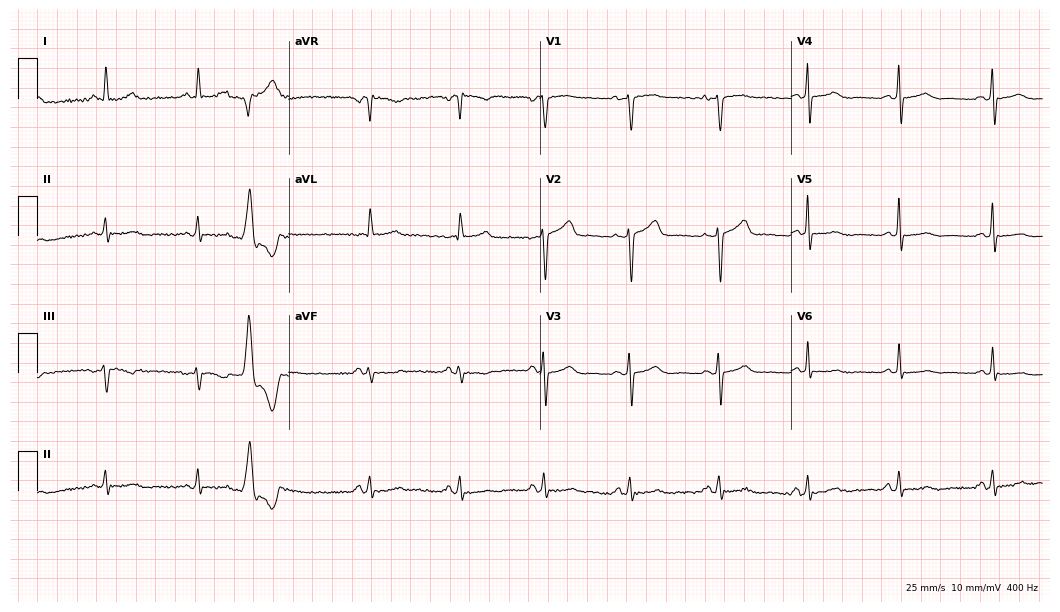
Resting 12-lead electrocardiogram. Patient: a female, 60 years old. None of these six findings is recorded: first-degree AV block, right bundle branch block, left bundle branch block, sinus bradycardia, atrial fibrillation, sinus tachycardia. Findings outside these six are not listed.